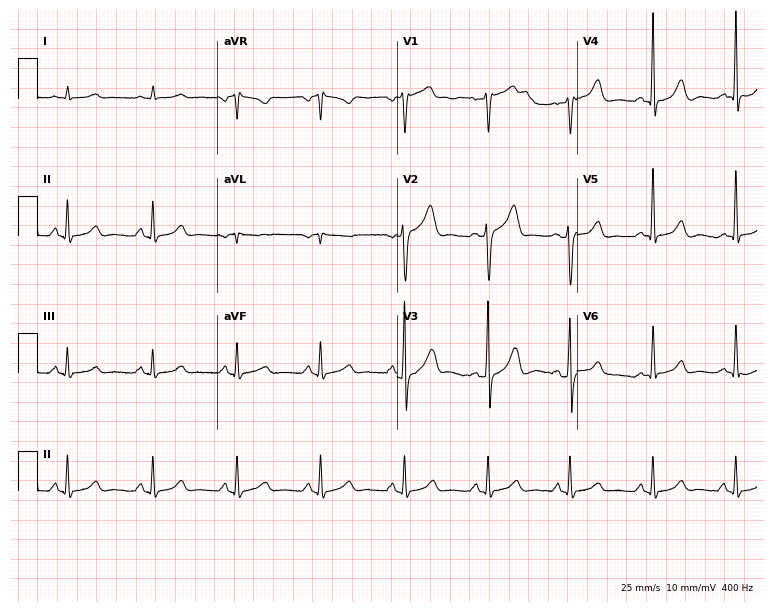
12-lead ECG (7.3-second recording at 400 Hz) from a male, 65 years old. Labelled as a normal ECG.